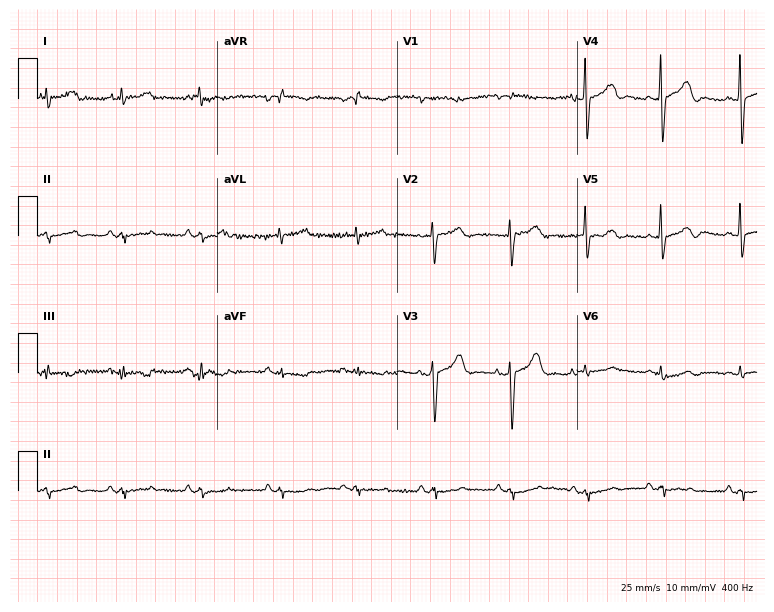
12-lead ECG from a 72-year-old female. No first-degree AV block, right bundle branch block, left bundle branch block, sinus bradycardia, atrial fibrillation or sinus tachycardia recorded for this tracing. Only these six findings were labelled.